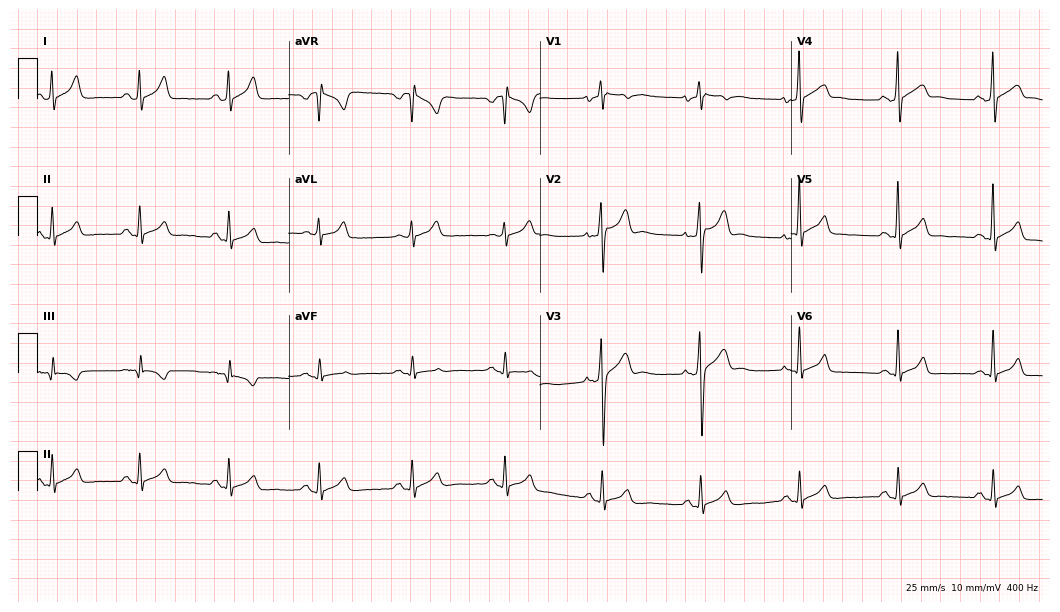
Resting 12-lead electrocardiogram. Patient: a 36-year-old male. Read as a normal ECG.